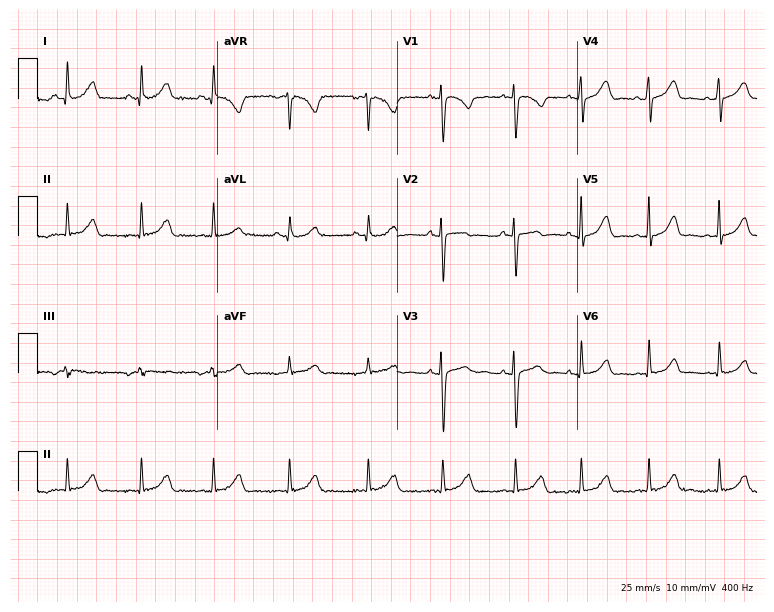
Electrocardiogram (7.3-second recording at 400 Hz), a female patient, 33 years old. Of the six screened findings (first-degree AV block, right bundle branch block, left bundle branch block, sinus bradycardia, atrial fibrillation, sinus tachycardia), none is recorded. Other findings, if any, are not listed.